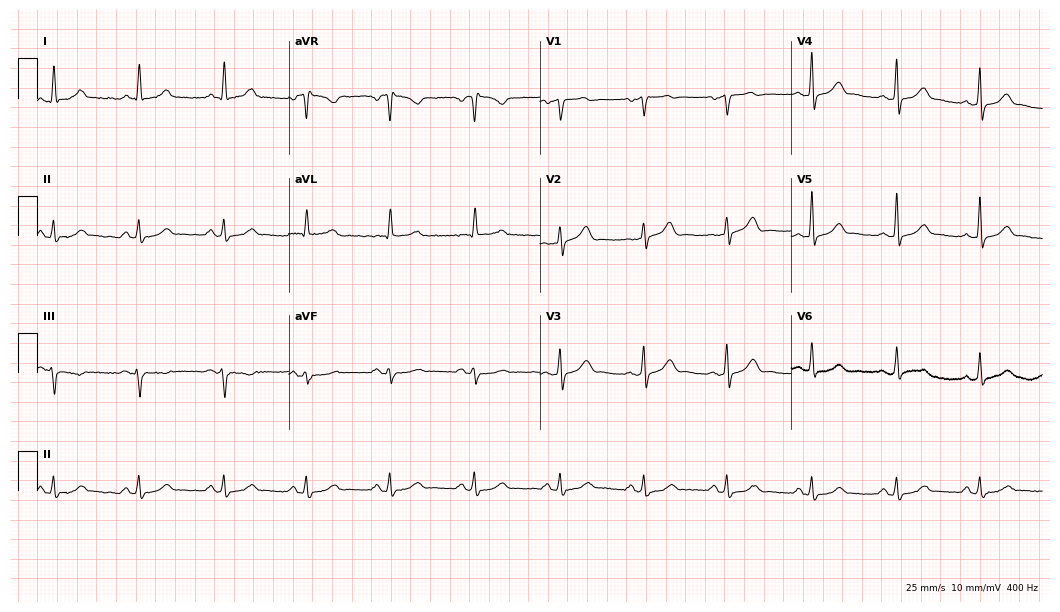
Resting 12-lead electrocardiogram. Patient: a female, 60 years old. Read as a normal ECG.